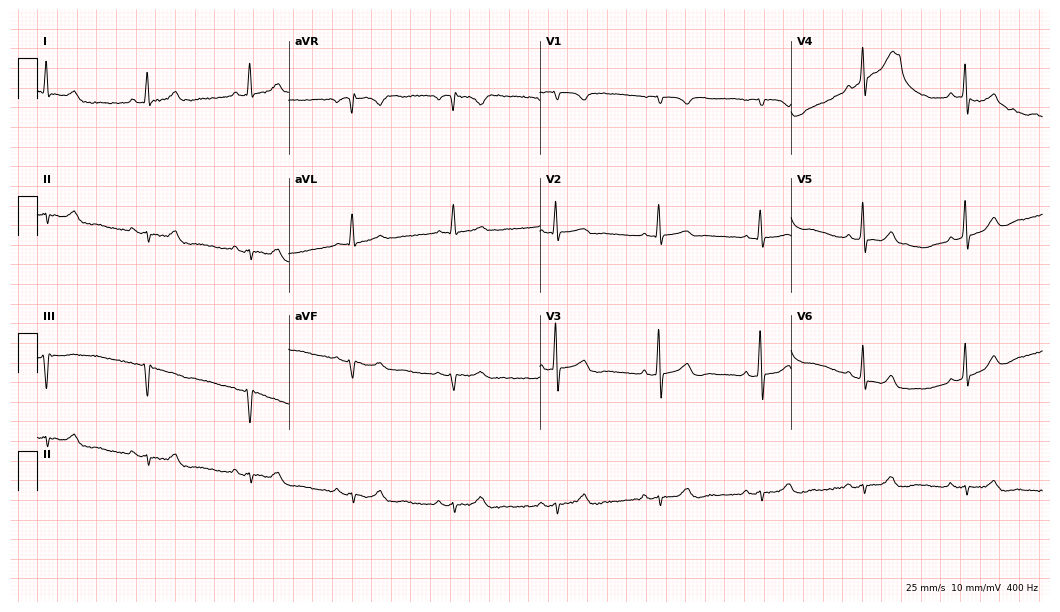
12-lead ECG from a 71-year-old male. Recorded interpretation: within normal limits.